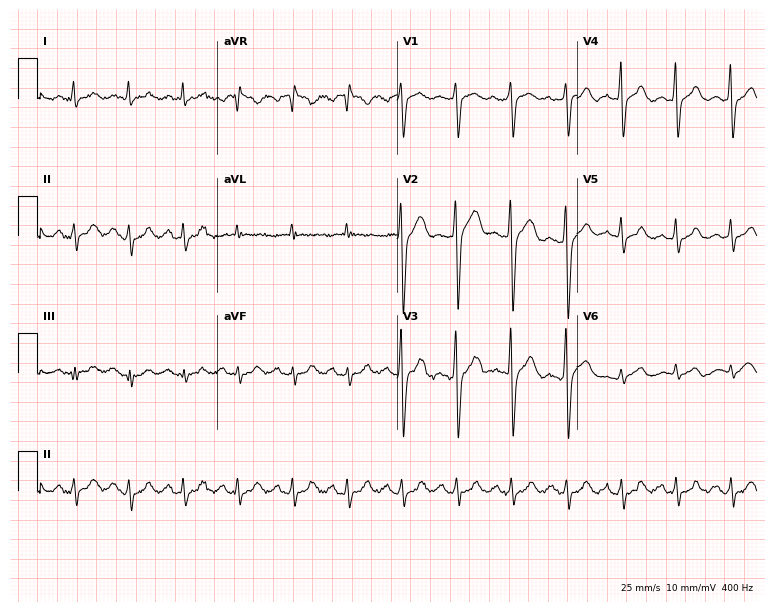
ECG (7.3-second recording at 400 Hz) — a male patient, 39 years old. Screened for six findings — first-degree AV block, right bundle branch block, left bundle branch block, sinus bradycardia, atrial fibrillation, sinus tachycardia — none is recorded.